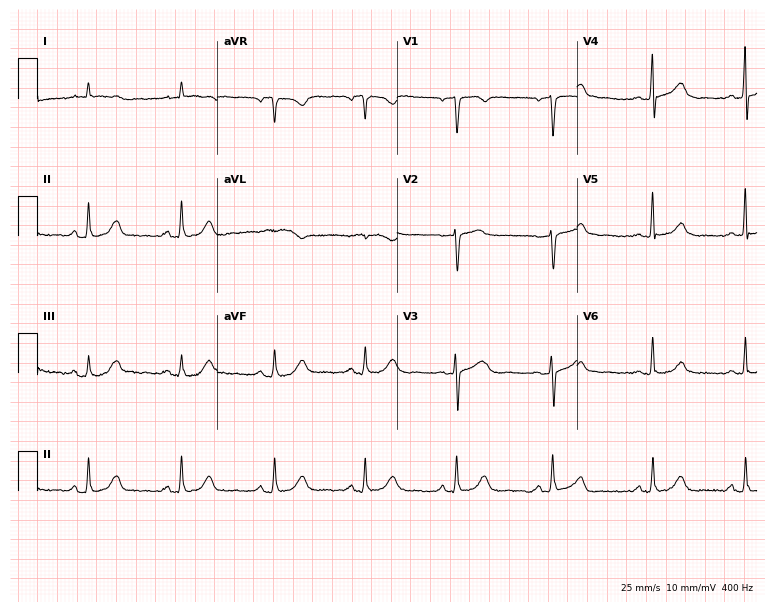
12-lead ECG from a male patient, 65 years old. No first-degree AV block, right bundle branch block, left bundle branch block, sinus bradycardia, atrial fibrillation or sinus tachycardia recorded for this tracing.